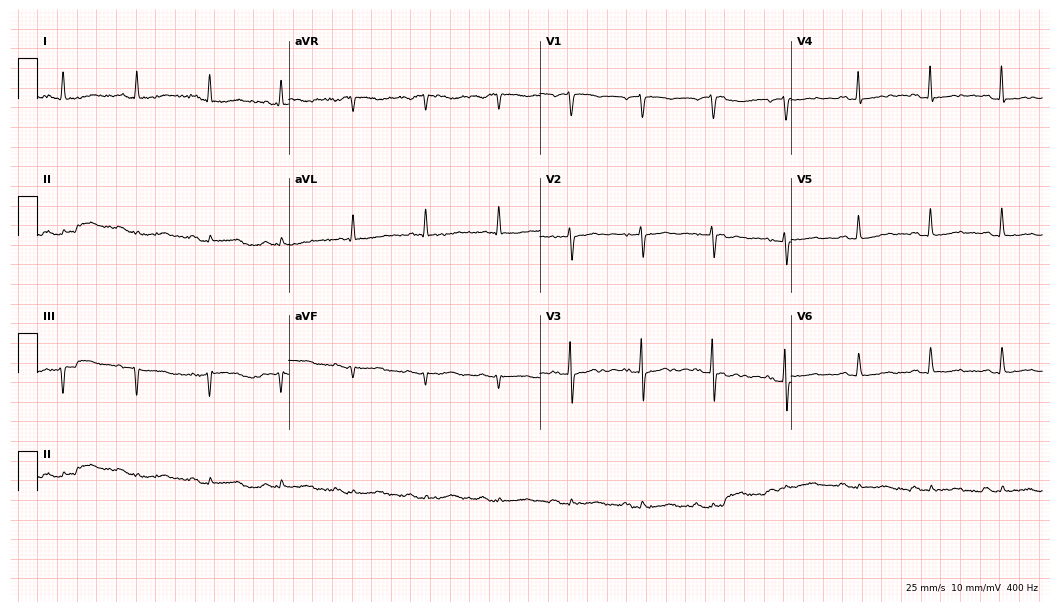
ECG — a woman, 82 years old. Screened for six findings — first-degree AV block, right bundle branch block, left bundle branch block, sinus bradycardia, atrial fibrillation, sinus tachycardia — none is recorded. Findings outside these six are not listed.